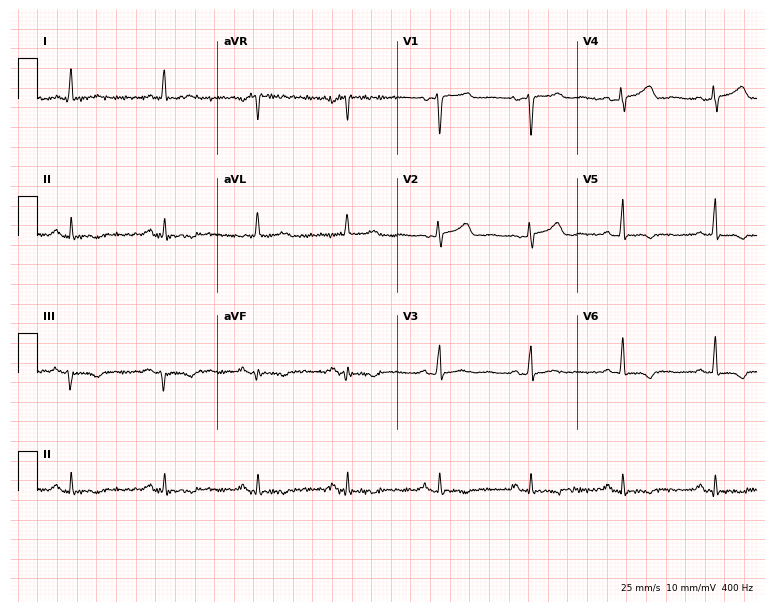
Electrocardiogram (7.3-second recording at 400 Hz), a woman, 53 years old. Of the six screened findings (first-degree AV block, right bundle branch block (RBBB), left bundle branch block (LBBB), sinus bradycardia, atrial fibrillation (AF), sinus tachycardia), none is recorded.